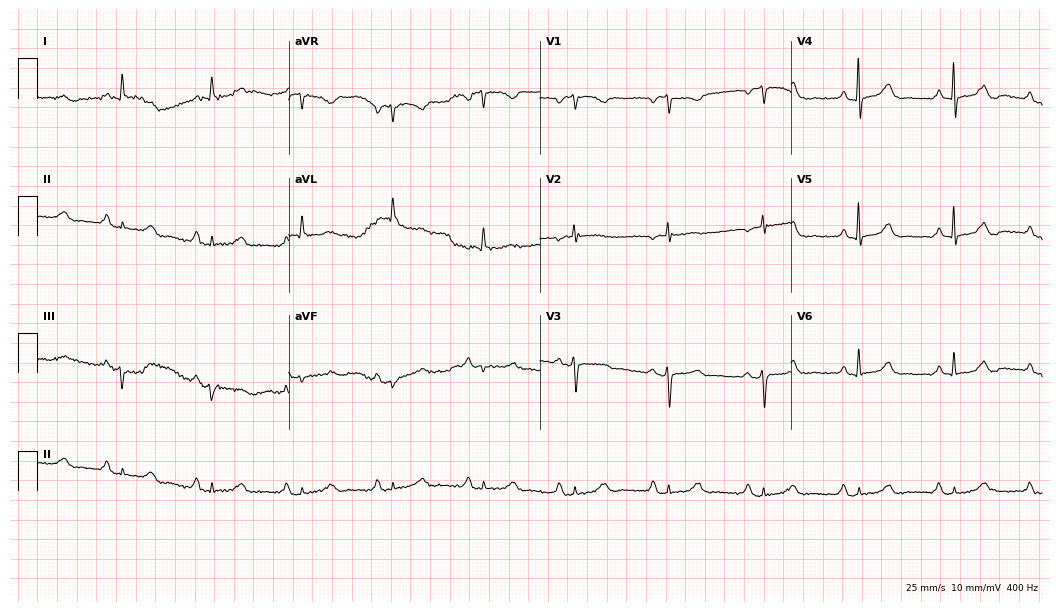
Resting 12-lead electrocardiogram. Patient: a female, 72 years old. None of these six findings is recorded: first-degree AV block, right bundle branch block, left bundle branch block, sinus bradycardia, atrial fibrillation, sinus tachycardia.